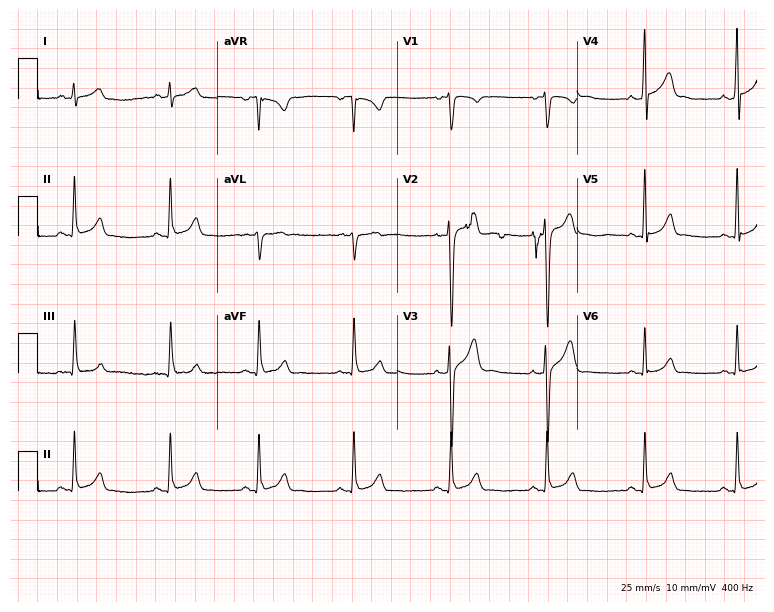
Electrocardiogram (7.3-second recording at 400 Hz), a 20-year-old male patient. Of the six screened findings (first-degree AV block, right bundle branch block (RBBB), left bundle branch block (LBBB), sinus bradycardia, atrial fibrillation (AF), sinus tachycardia), none is recorded.